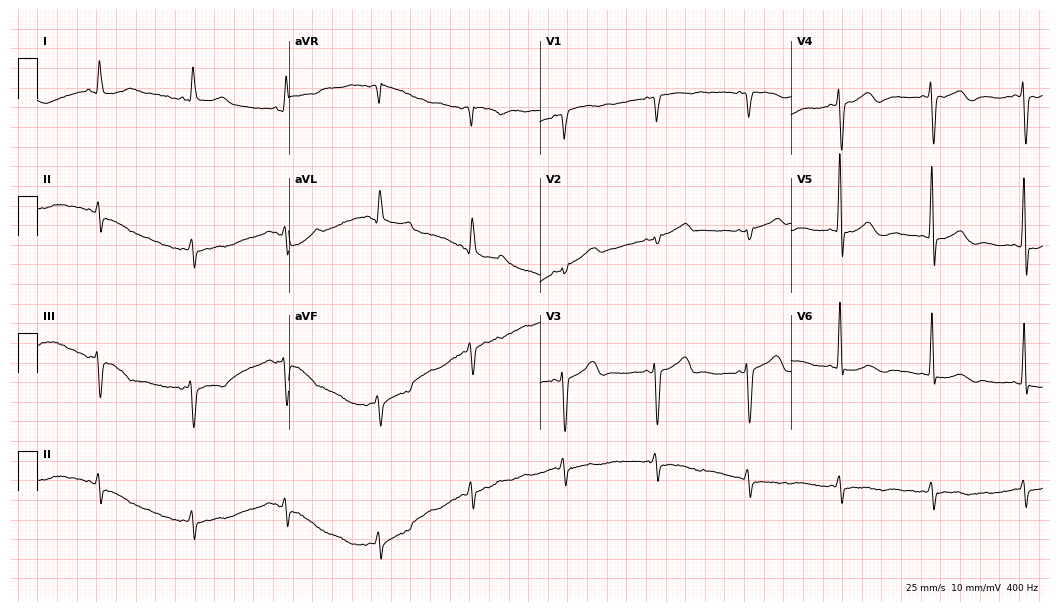
Electrocardiogram (10.2-second recording at 400 Hz), a man, 81 years old. Of the six screened findings (first-degree AV block, right bundle branch block, left bundle branch block, sinus bradycardia, atrial fibrillation, sinus tachycardia), none is recorded. Only these six findings were labelled.